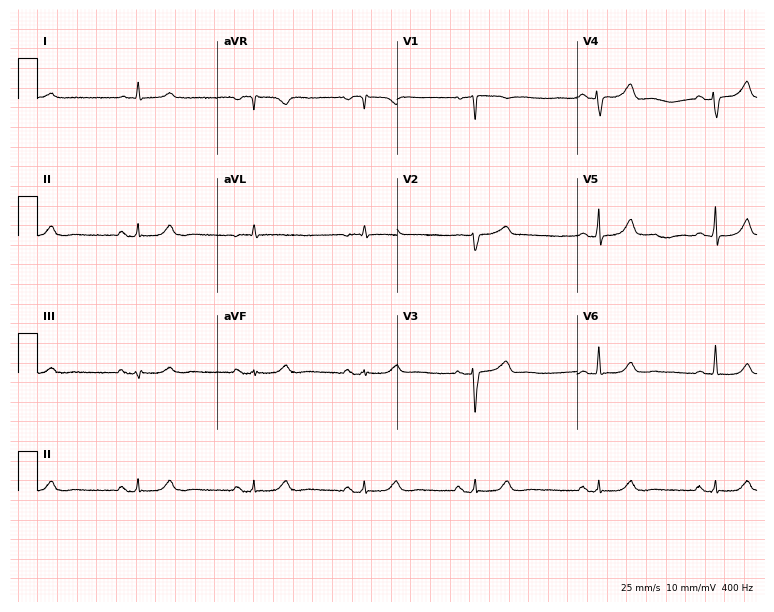
ECG (7.3-second recording at 400 Hz) — a female, 68 years old. Screened for six findings — first-degree AV block, right bundle branch block, left bundle branch block, sinus bradycardia, atrial fibrillation, sinus tachycardia — none is recorded.